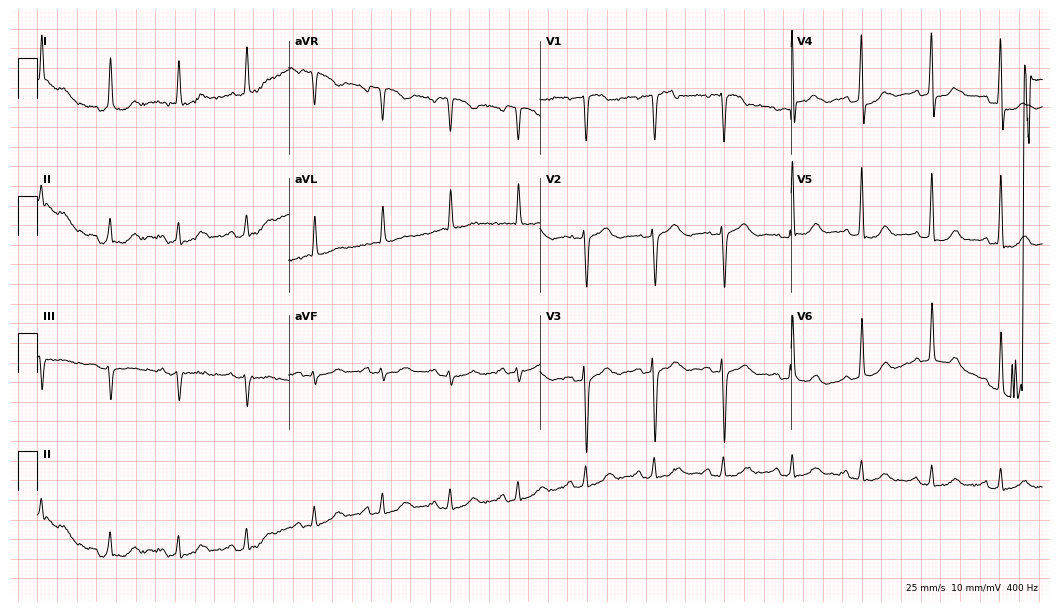
ECG — a female, 75 years old. Labelled as a normal ECG.